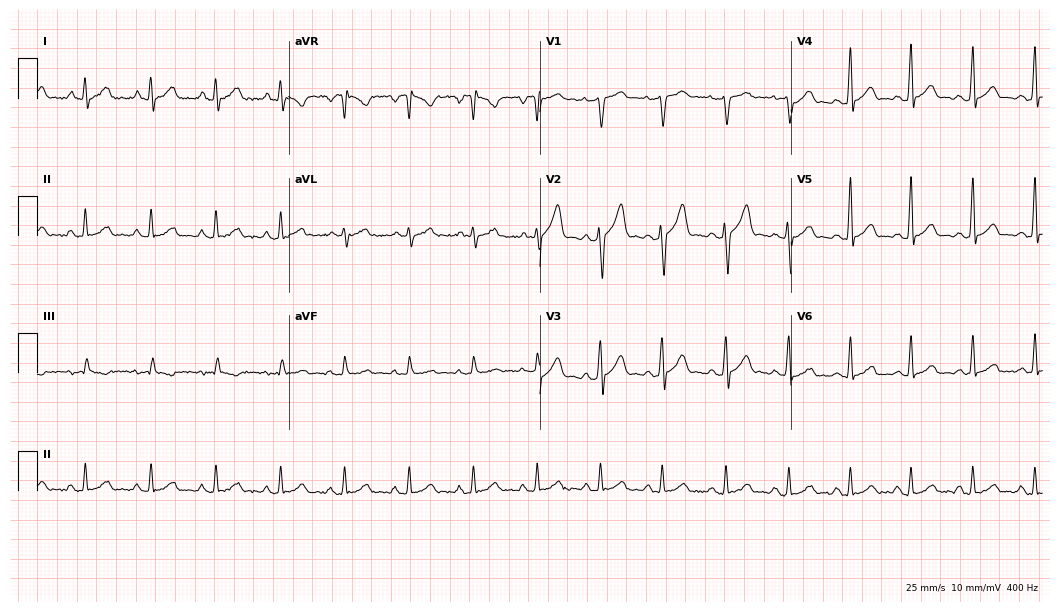
ECG (10.2-second recording at 400 Hz) — a 39-year-old man. Labelled as a normal ECG.